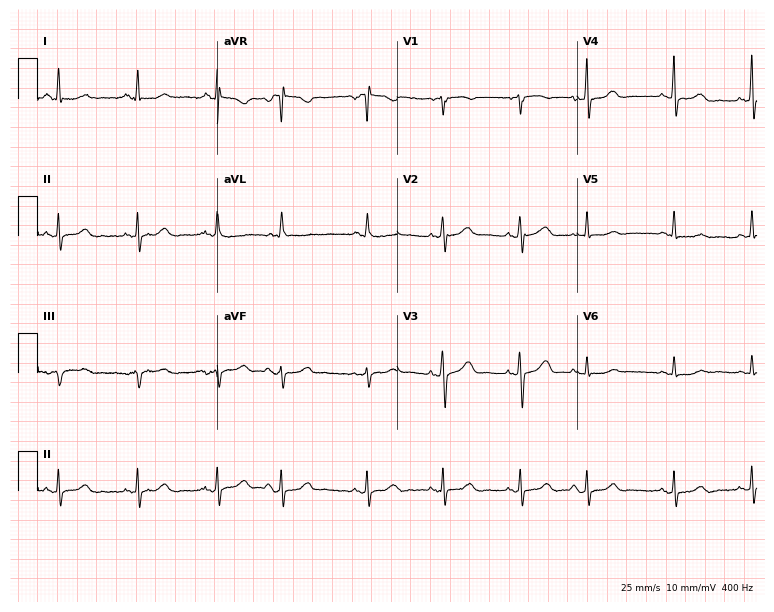
Resting 12-lead electrocardiogram. Patient: a 77-year-old female. None of these six findings is recorded: first-degree AV block, right bundle branch block, left bundle branch block, sinus bradycardia, atrial fibrillation, sinus tachycardia. Other findings, if any, are not listed.